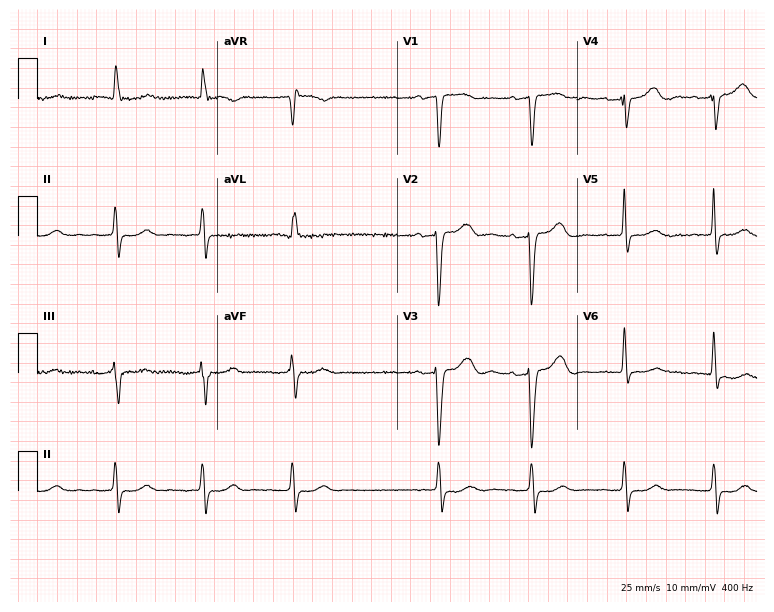
Resting 12-lead electrocardiogram (7.3-second recording at 400 Hz). Patient: a 76-year-old woman. None of these six findings is recorded: first-degree AV block, right bundle branch block, left bundle branch block, sinus bradycardia, atrial fibrillation, sinus tachycardia. Other findings, if any, are not listed.